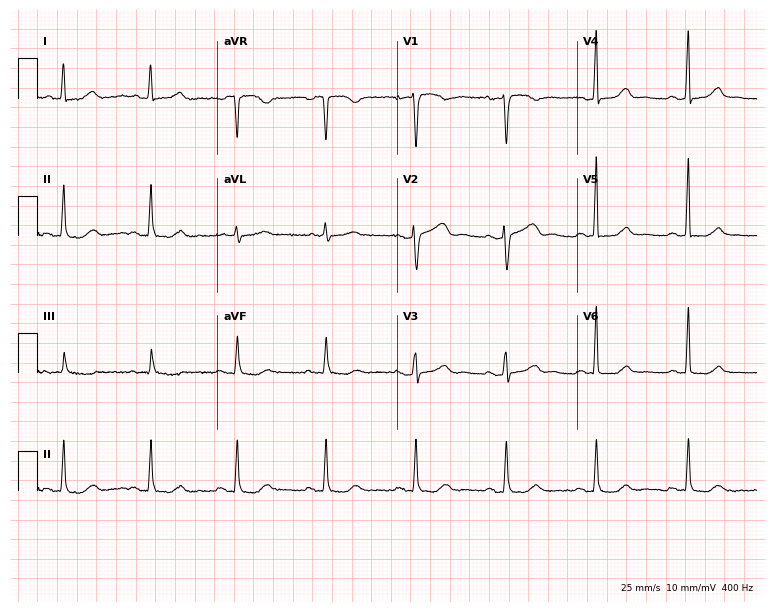
Standard 12-lead ECG recorded from a 65-year-old female (7.3-second recording at 400 Hz). None of these six findings is recorded: first-degree AV block, right bundle branch block (RBBB), left bundle branch block (LBBB), sinus bradycardia, atrial fibrillation (AF), sinus tachycardia.